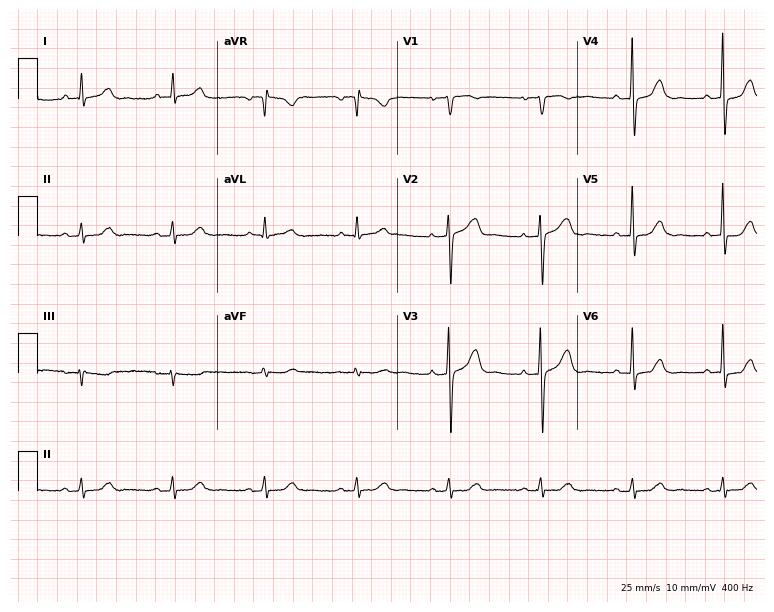
12-lead ECG from a 60-year-old woman. Recorded interpretation: within normal limits.